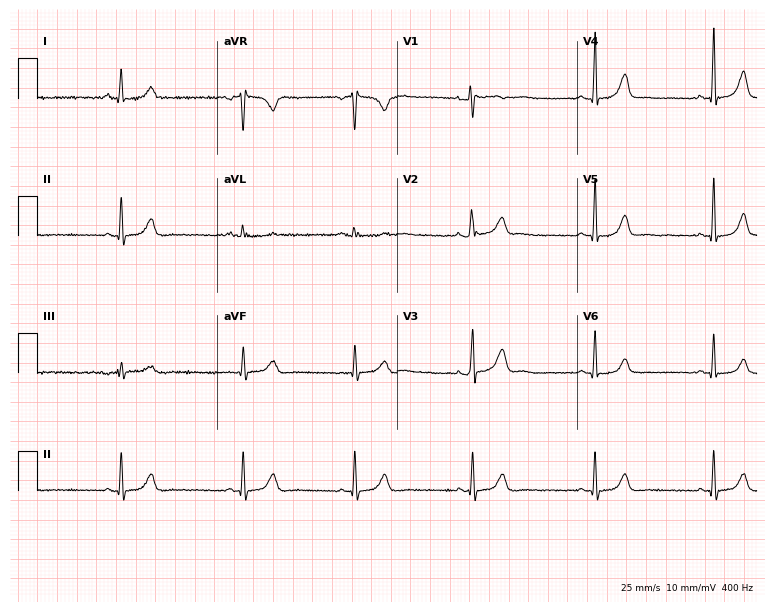
Standard 12-lead ECG recorded from a female patient, 35 years old. The tracing shows sinus bradycardia (a sinus rate of 50 beats per minute or less).